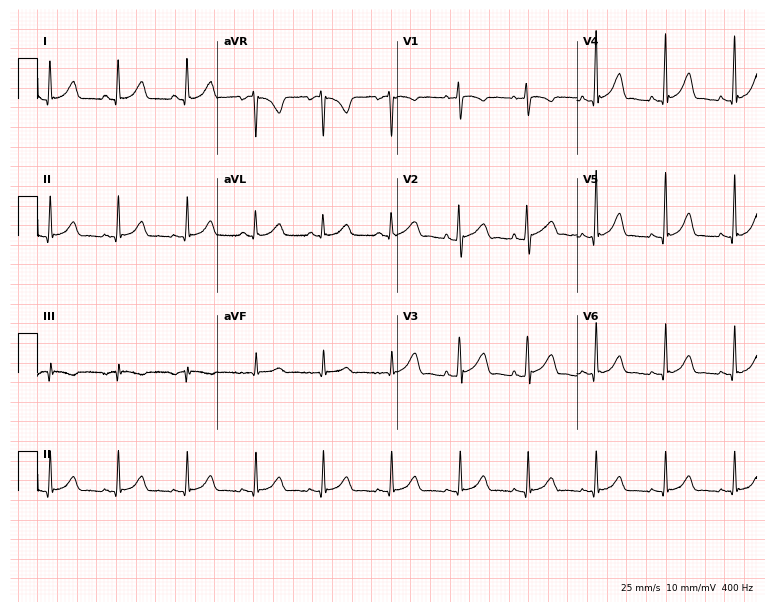
12-lead ECG from a woman, 54 years old. Recorded interpretation: within normal limits.